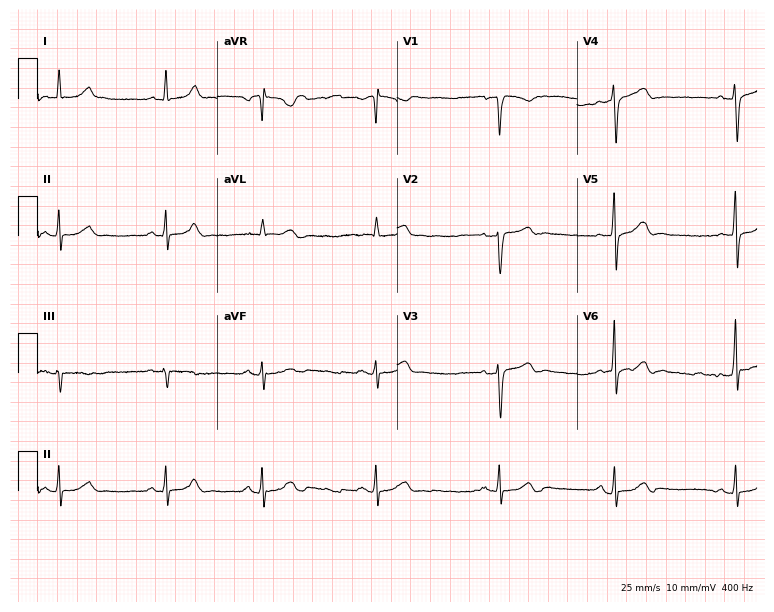
12-lead ECG from a man, 39 years old. No first-degree AV block, right bundle branch block, left bundle branch block, sinus bradycardia, atrial fibrillation or sinus tachycardia recorded for this tracing.